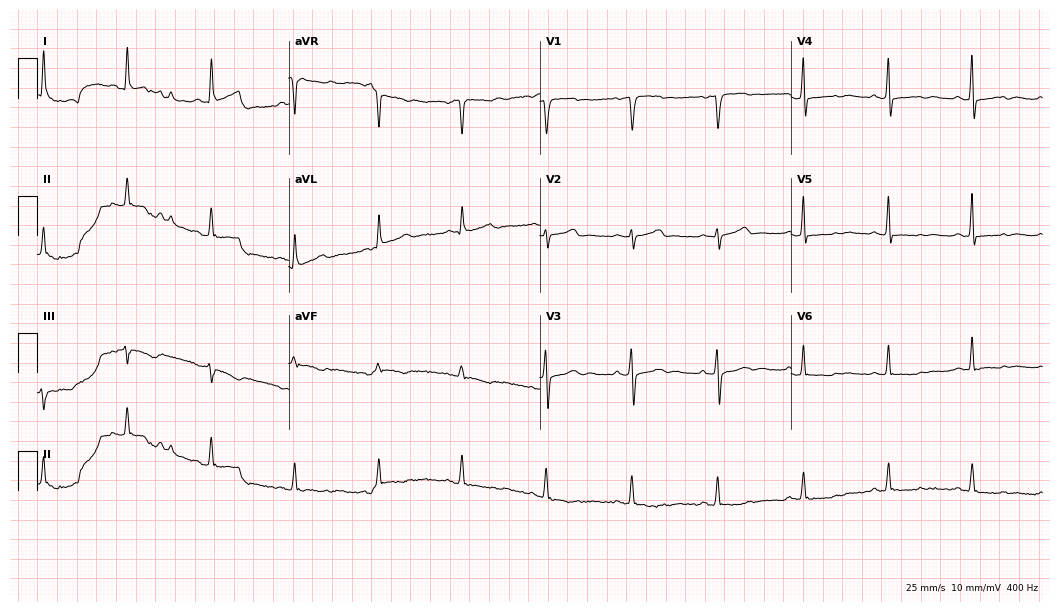
12-lead ECG from a woman, 58 years old. Screened for six findings — first-degree AV block, right bundle branch block, left bundle branch block, sinus bradycardia, atrial fibrillation, sinus tachycardia — none is recorded. Other findings, if any, are not listed.